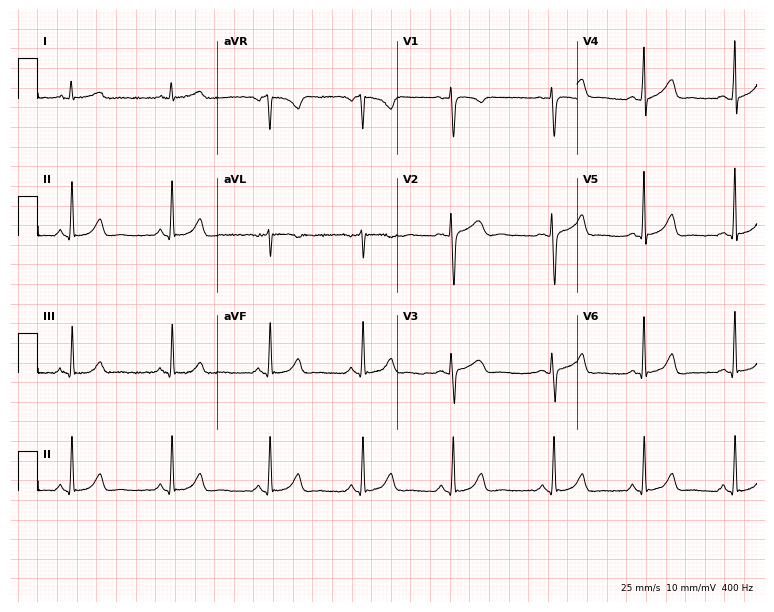
Standard 12-lead ECG recorded from a female patient, 34 years old. Read as a normal ECG.